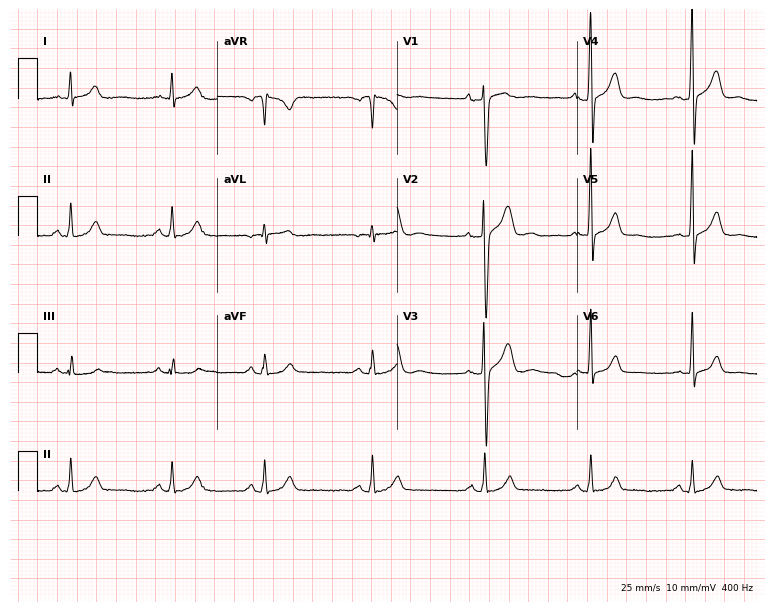
Resting 12-lead electrocardiogram. Patient: a 28-year-old male. Read as a normal ECG.